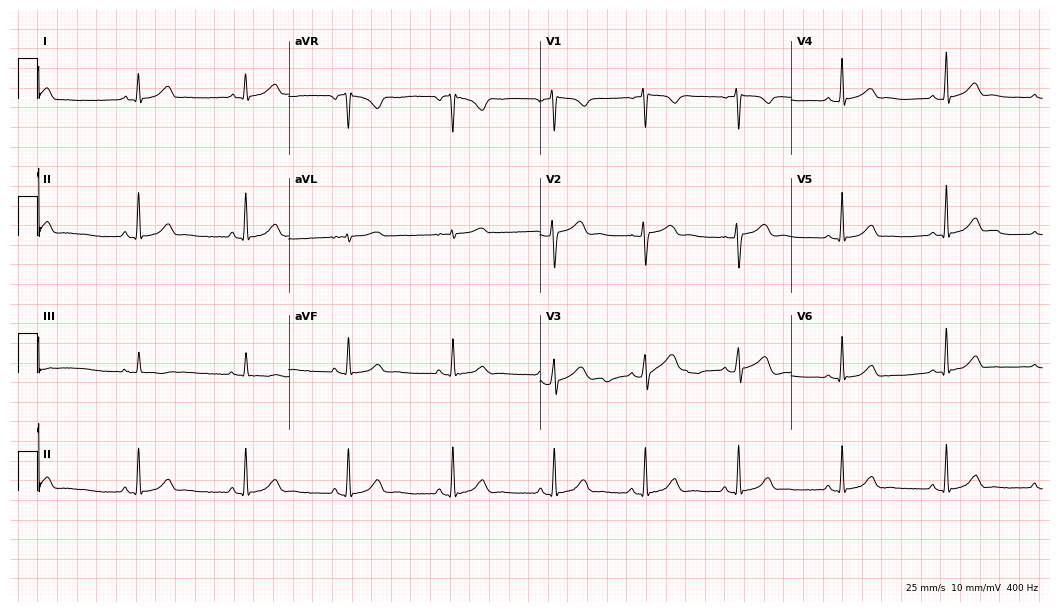
Resting 12-lead electrocardiogram (10.2-second recording at 400 Hz). Patient: a 48-year-old female. None of these six findings is recorded: first-degree AV block, right bundle branch block, left bundle branch block, sinus bradycardia, atrial fibrillation, sinus tachycardia.